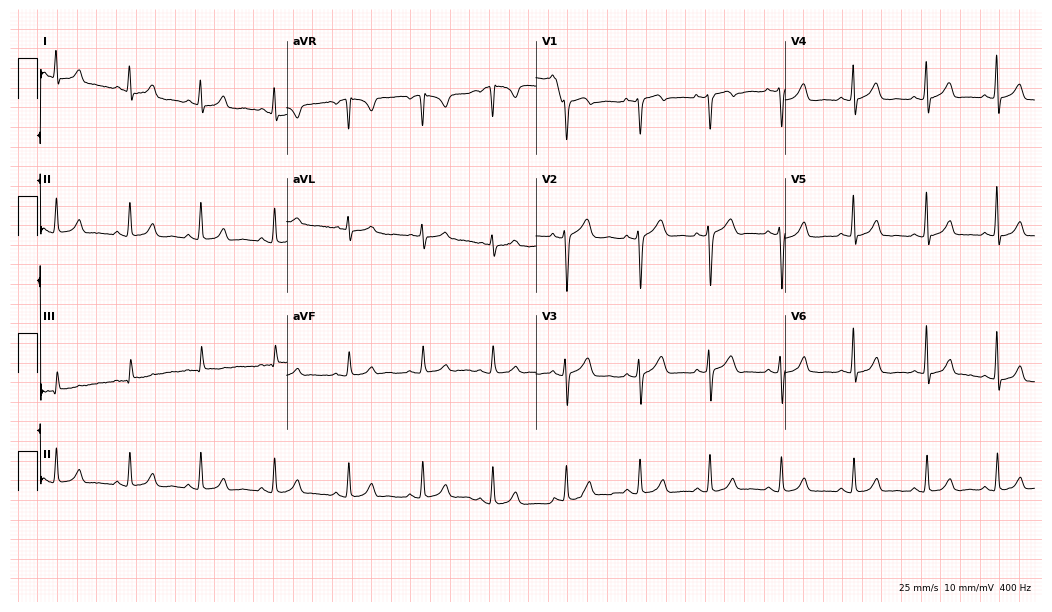
ECG — a female, 27 years old. Screened for six findings — first-degree AV block, right bundle branch block, left bundle branch block, sinus bradycardia, atrial fibrillation, sinus tachycardia — none is recorded. Other findings, if any, are not listed.